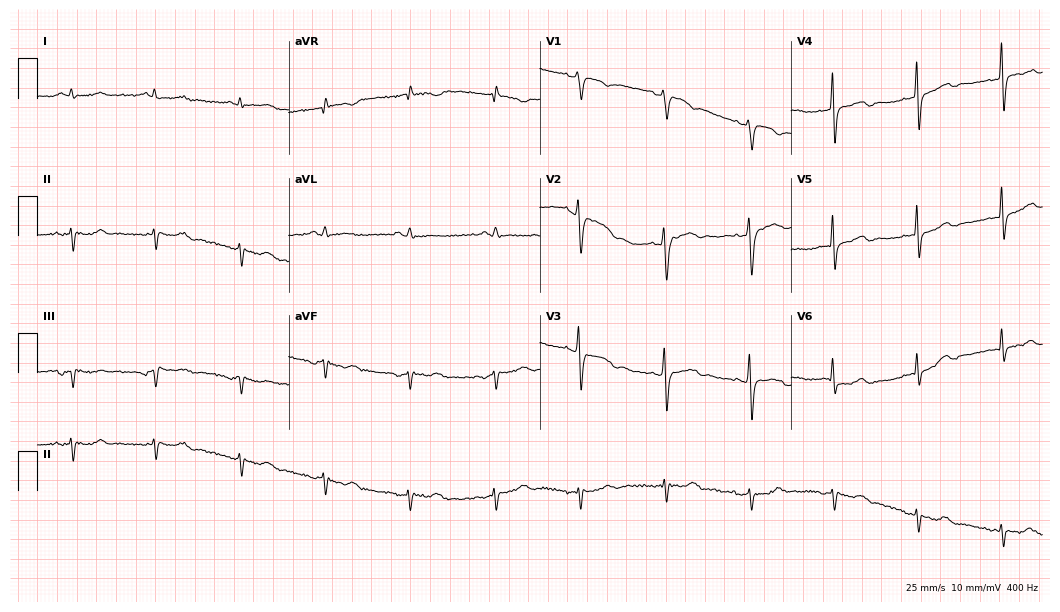
ECG — a 41-year-old male patient. Screened for six findings — first-degree AV block, right bundle branch block, left bundle branch block, sinus bradycardia, atrial fibrillation, sinus tachycardia — none is recorded.